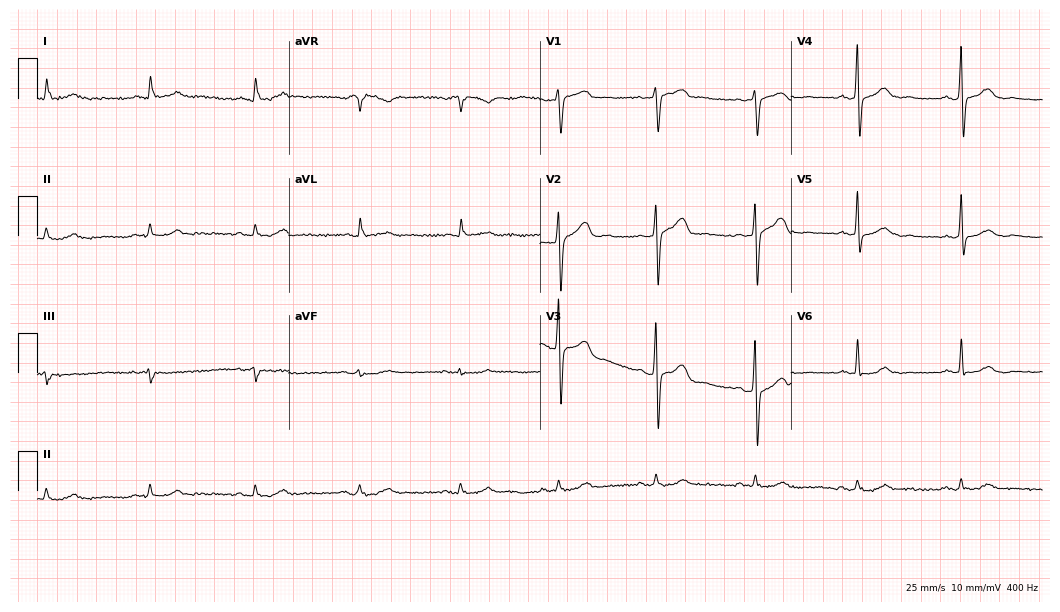
12-lead ECG from a 56-year-old male patient. Screened for six findings — first-degree AV block, right bundle branch block (RBBB), left bundle branch block (LBBB), sinus bradycardia, atrial fibrillation (AF), sinus tachycardia — none is recorded.